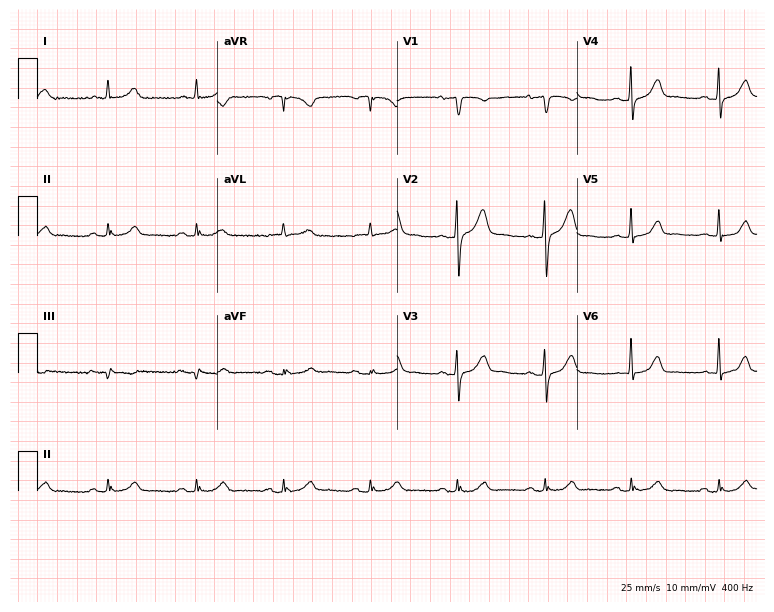
Electrocardiogram, a male, 83 years old. Overall reading on record: normal ECG.